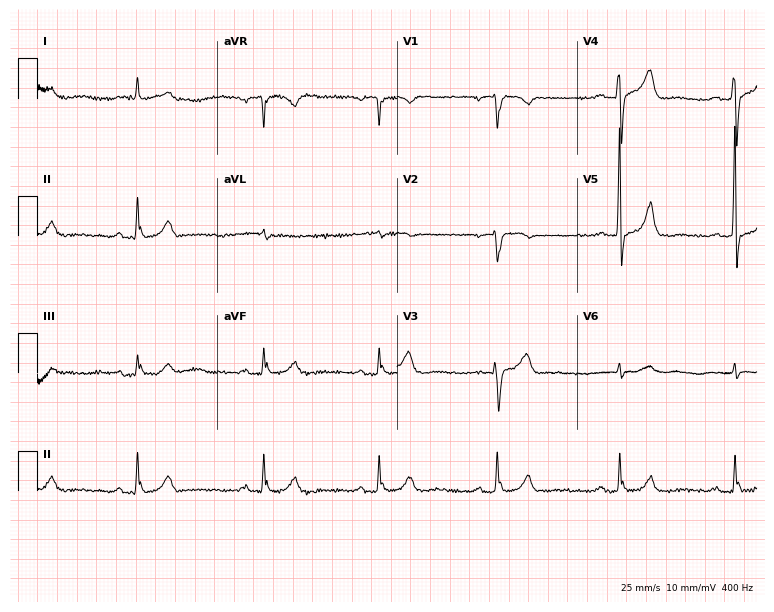
Electrocardiogram, a 61-year-old male. Overall reading on record: normal ECG.